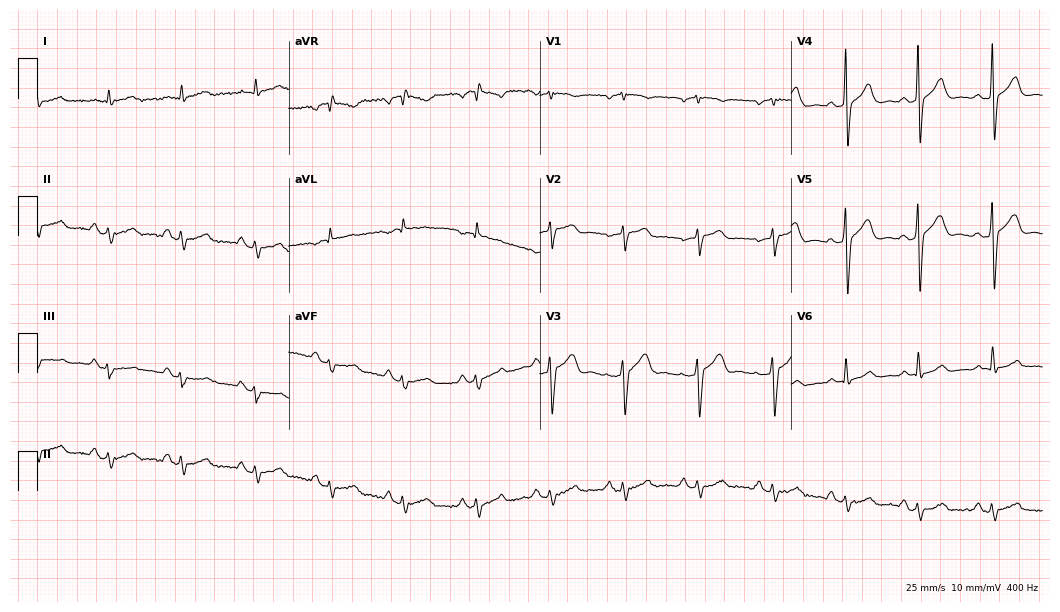
12-lead ECG (10.2-second recording at 400 Hz) from a 66-year-old male patient. Screened for six findings — first-degree AV block, right bundle branch block, left bundle branch block, sinus bradycardia, atrial fibrillation, sinus tachycardia — none is recorded. Only these six findings were labelled.